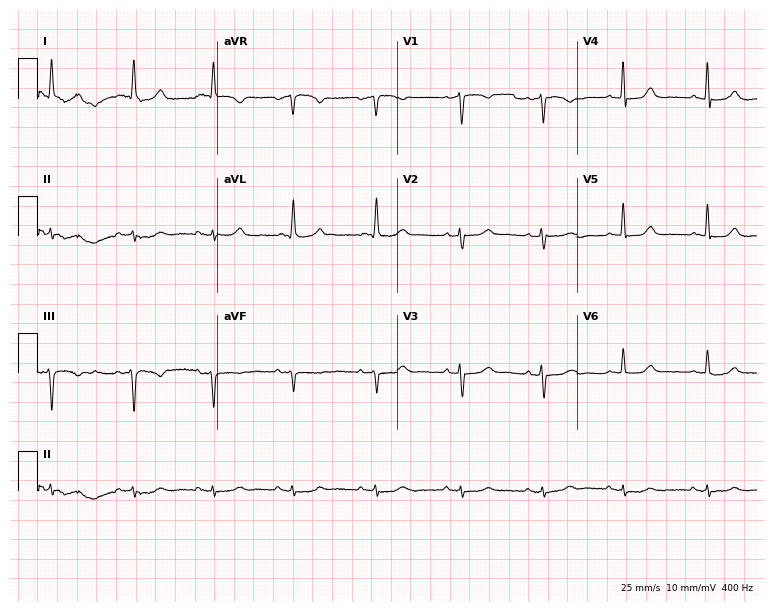
ECG (7.3-second recording at 400 Hz) — a 74-year-old woman. Screened for six findings — first-degree AV block, right bundle branch block (RBBB), left bundle branch block (LBBB), sinus bradycardia, atrial fibrillation (AF), sinus tachycardia — none is recorded. Findings outside these six are not listed.